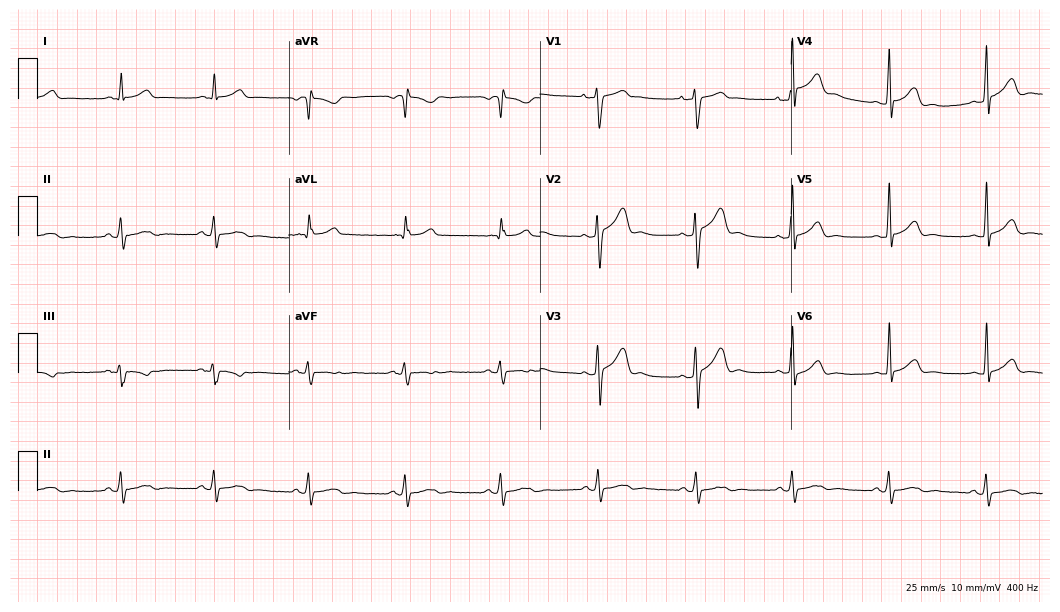
12-lead ECG from a 43-year-old man (10.2-second recording at 400 Hz). No first-degree AV block, right bundle branch block, left bundle branch block, sinus bradycardia, atrial fibrillation or sinus tachycardia recorded for this tracing. Other findings, if any, are not listed.